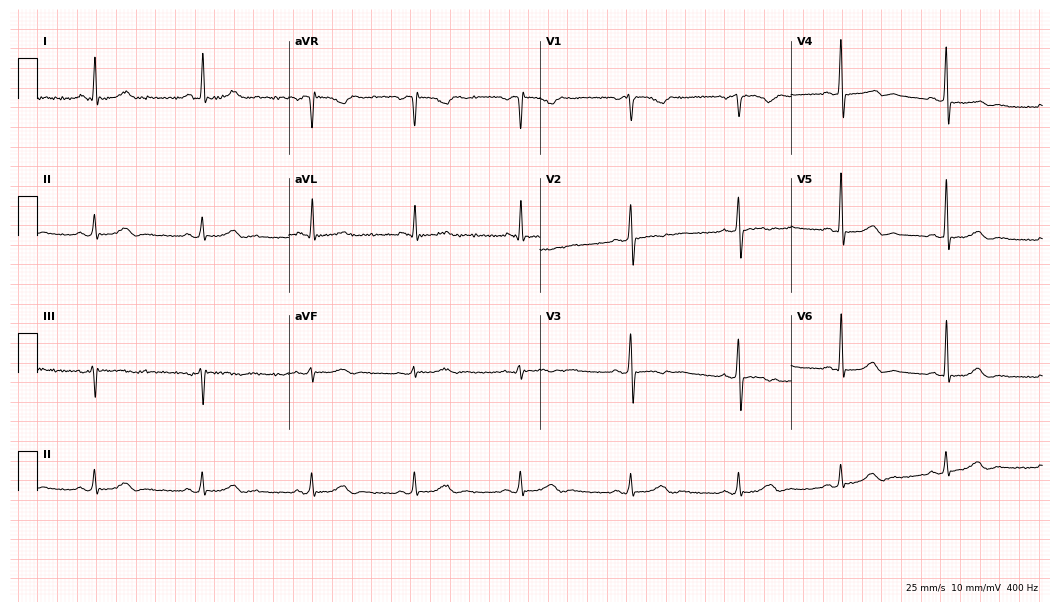
ECG (10.2-second recording at 400 Hz) — a female, 54 years old. Labelled as a normal ECG.